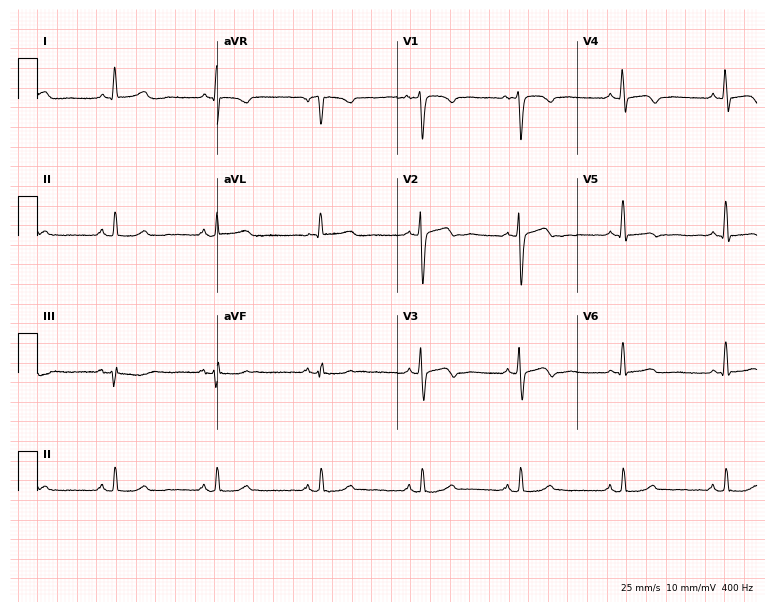
12-lead ECG from a female patient, 52 years old. No first-degree AV block, right bundle branch block (RBBB), left bundle branch block (LBBB), sinus bradycardia, atrial fibrillation (AF) or sinus tachycardia recorded for this tracing.